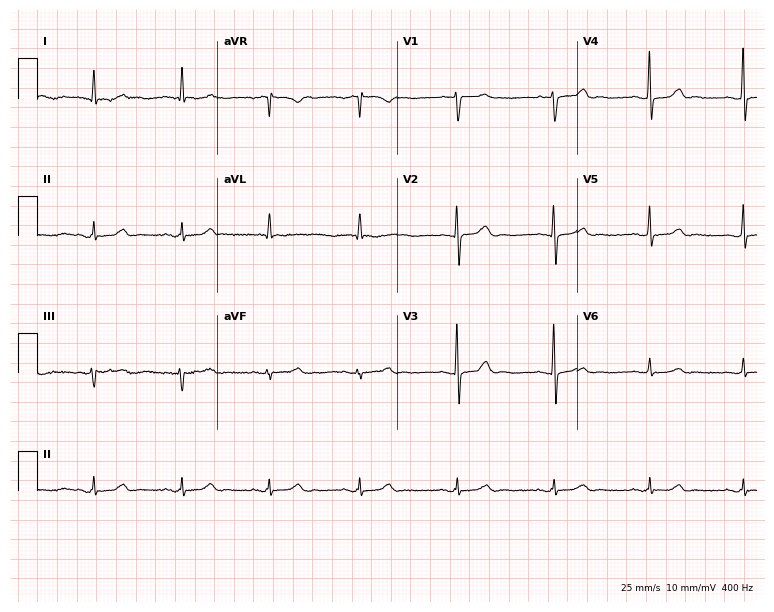
Resting 12-lead electrocardiogram (7.3-second recording at 400 Hz). Patient: a female, 74 years old. Read as a normal ECG.